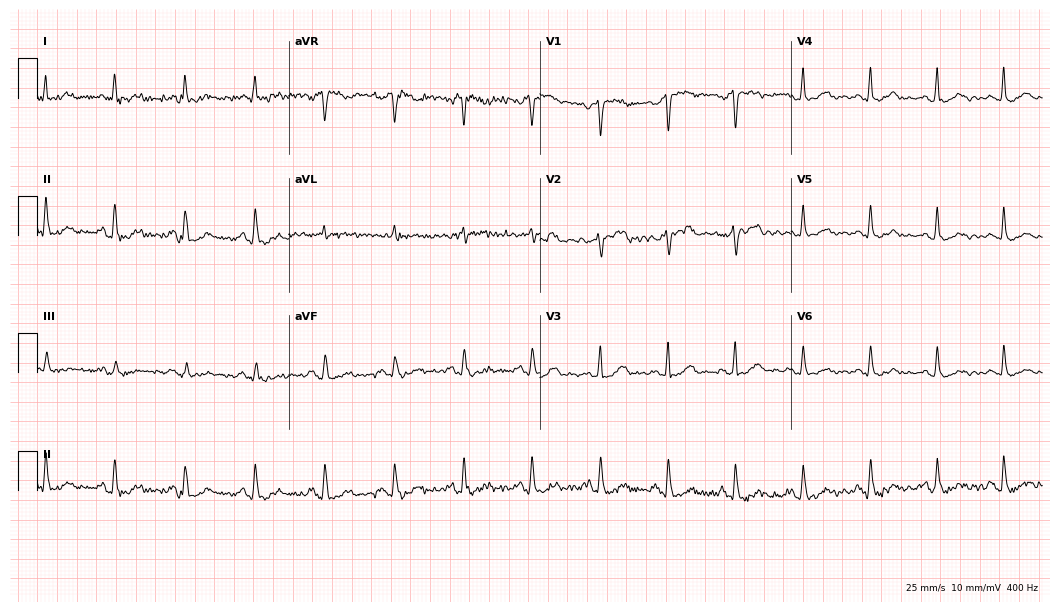
Electrocardiogram, a female patient, 48 years old. Overall reading on record: normal ECG.